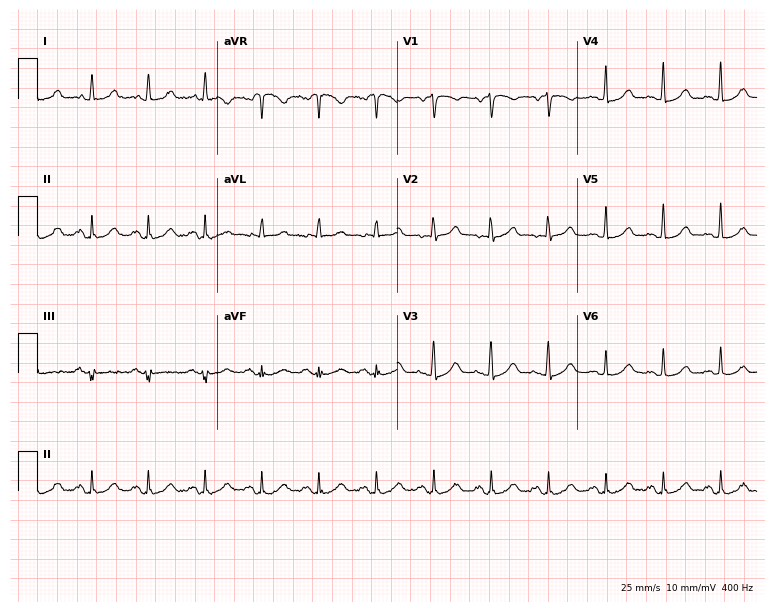
12-lead ECG from a female, 63 years old (7.3-second recording at 400 Hz). Shows sinus tachycardia (a sinus rate of 100 beats per minute or more).